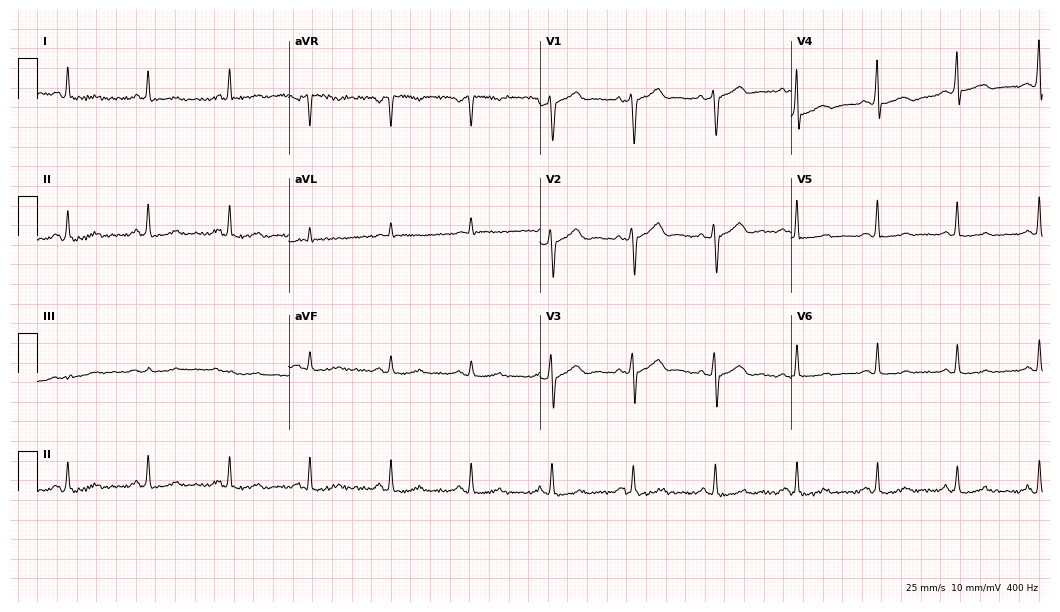
12-lead ECG from a 54-year-old male (10.2-second recording at 400 Hz). No first-degree AV block, right bundle branch block, left bundle branch block, sinus bradycardia, atrial fibrillation or sinus tachycardia recorded for this tracing. Other findings, if any, are not listed.